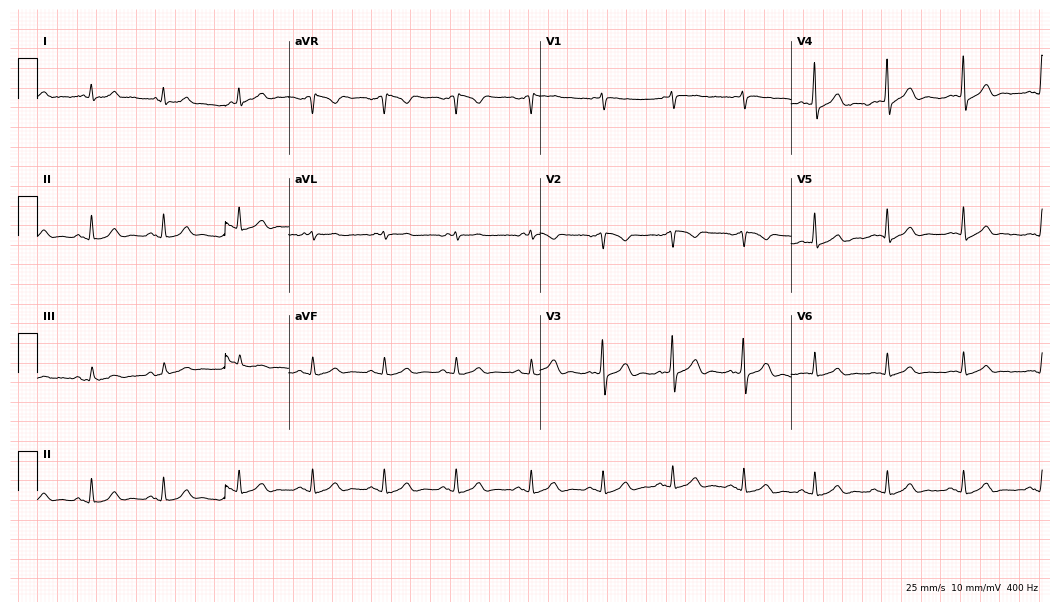
12-lead ECG (10.2-second recording at 400 Hz) from a male, 58 years old. Labelled as a normal ECG.